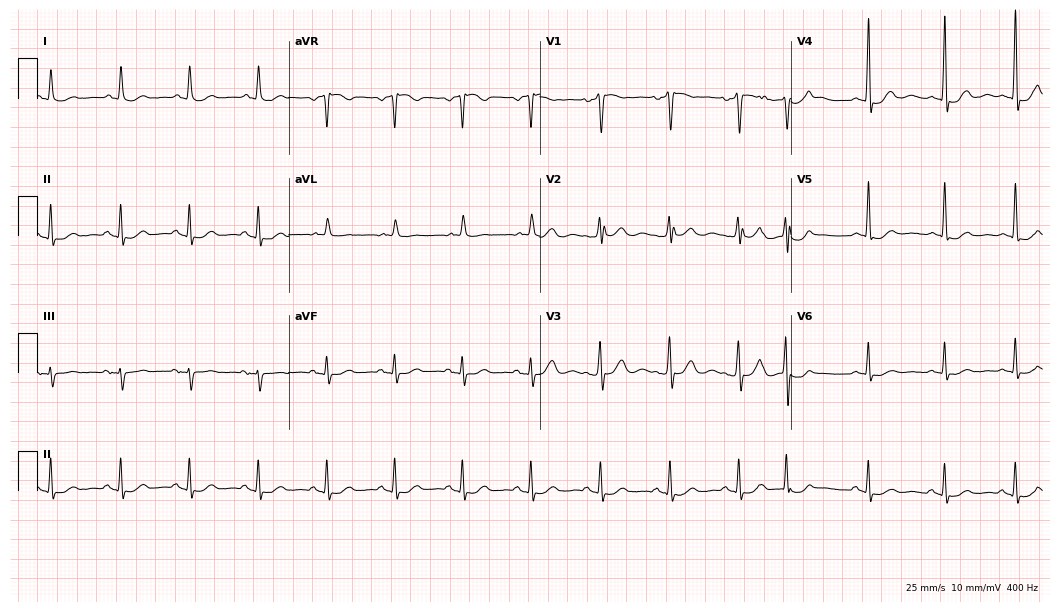
Standard 12-lead ECG recorded from a 76-year-old female patient (10.2-second recording at 400 Hz). None of these six findings is recorded: first-degree AV block, right bundle branch block, left bundle branch block, sinus bradycardia, atrial fibrillation, sinus tachycardia. Only these six findings were labelled.